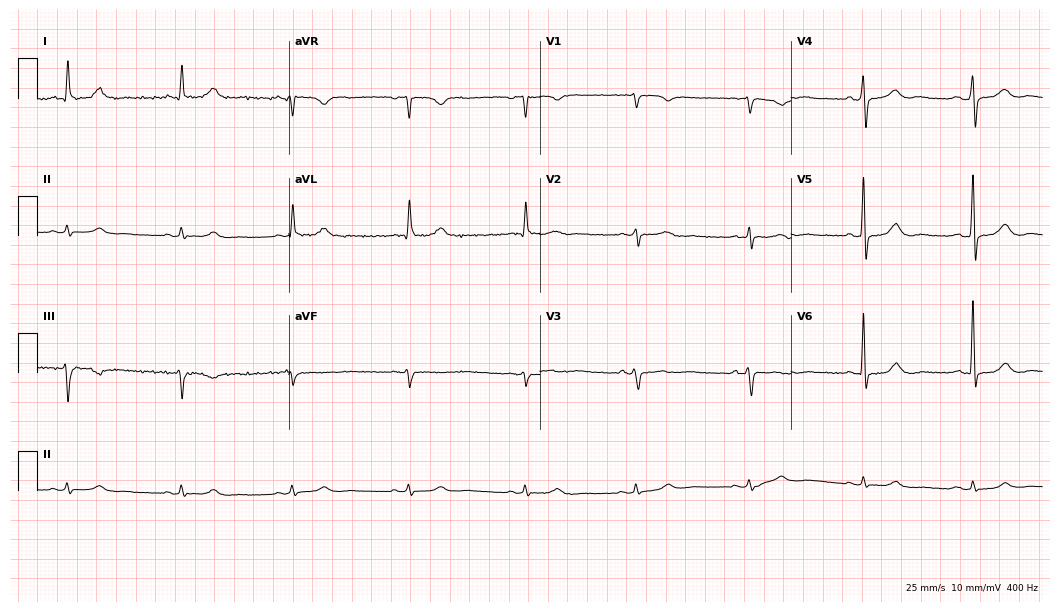
ECG (10.2-second recording at 400 Hz) — a male patient, 79 years old. Labelled as a normal ECG.